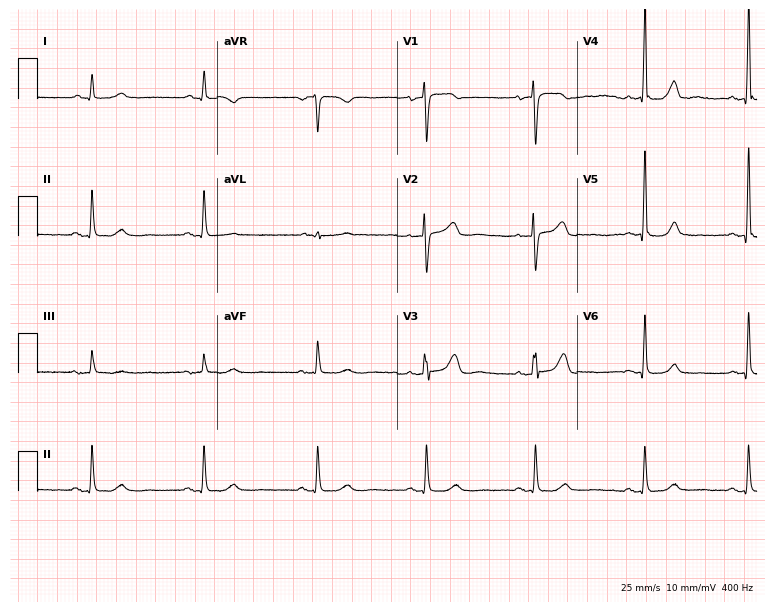
Standard 12-lead ECG recorded from a female patient, 55 years old (7.3-second recording at 400 Hz). Read as a normal ECG.